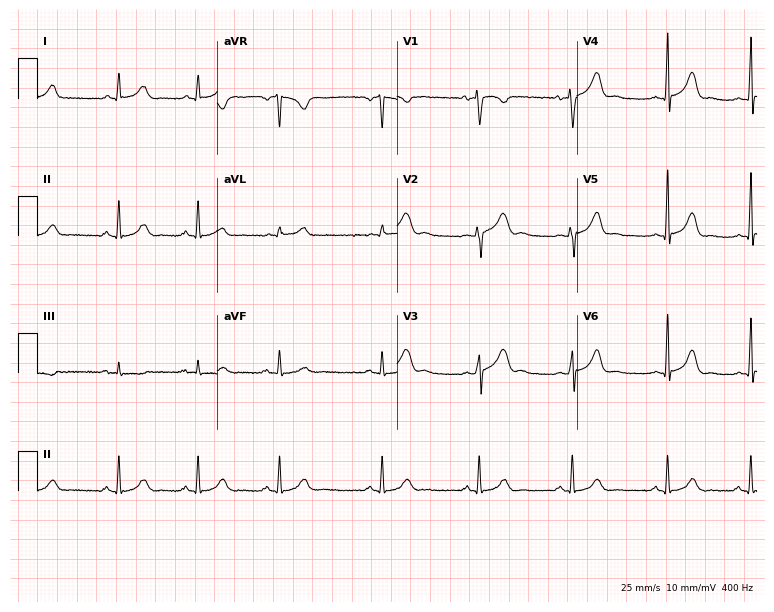
Standard 12-lead ECG recorded from a female patient, 28 years old. None of these six findings is recorded: first-degree AV block, right bundle branch block (RBBB), left bundle branch block (LBBB), sinus bradycardia, atrial fibrillation (AF), sinus tachycardia. Other findings, if any, are not listed.